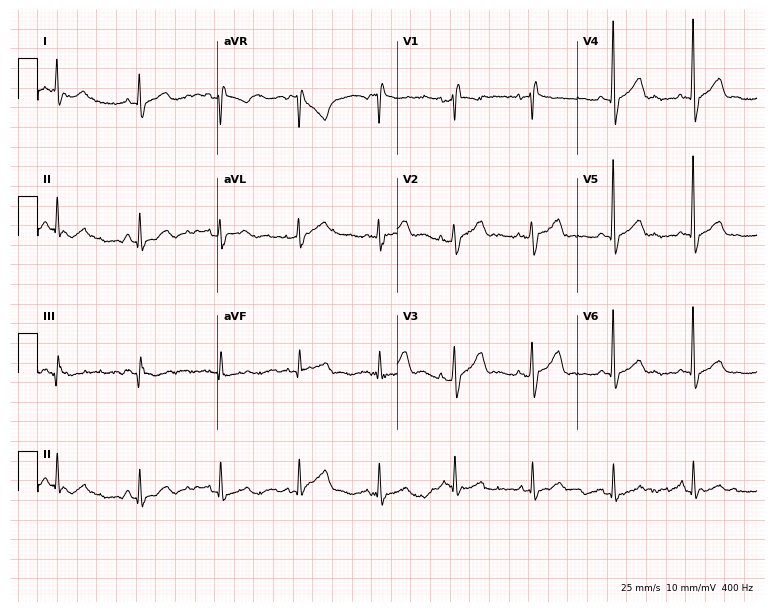
Standard 12-lead ECG recorded from a woman, 70 years old. None of these six findings is recorded: first-degree AV block, right bundle branch block, left bundle branch block, sinus bradycardia, atrial fibrillation, sinus tachycardia. Only these six findings were labelled.